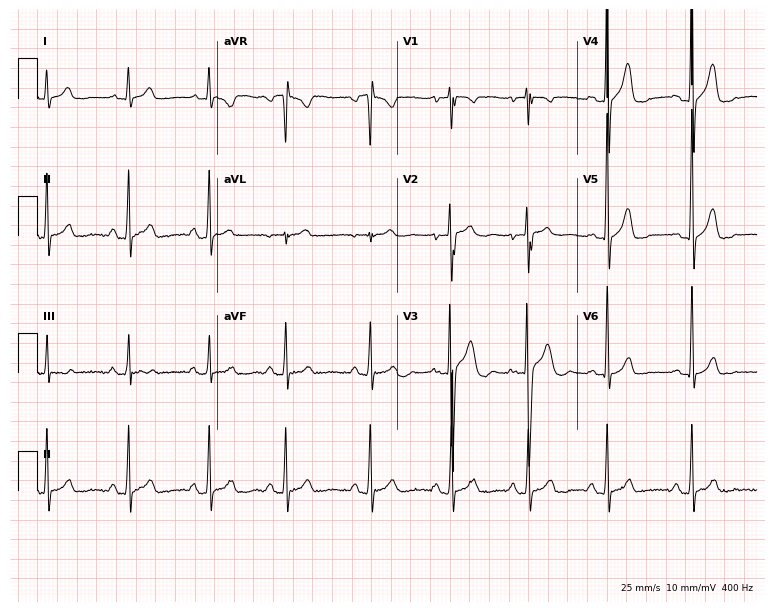
12-lead ECG from a male patient, 25 years old. Recorded interpretation: within normal limits.